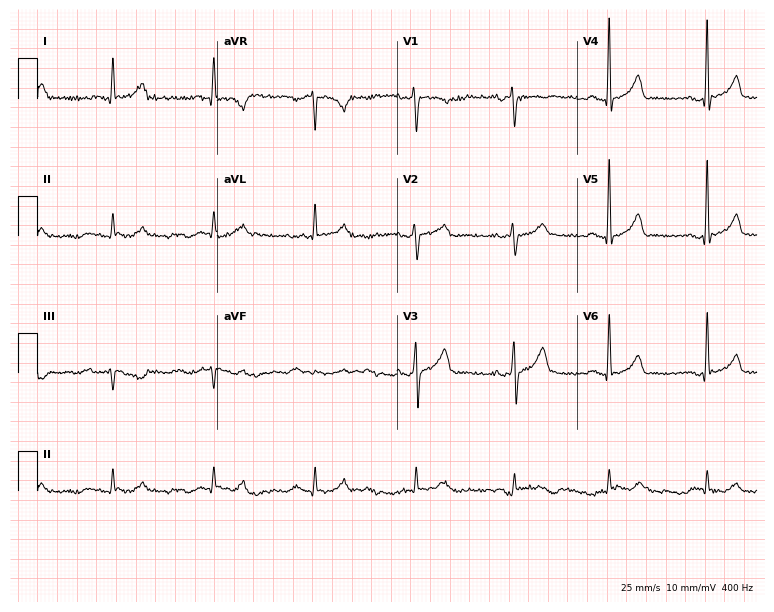
12-lead ECG from a male, 45 years old. Recorded interpretation: within normal limits.